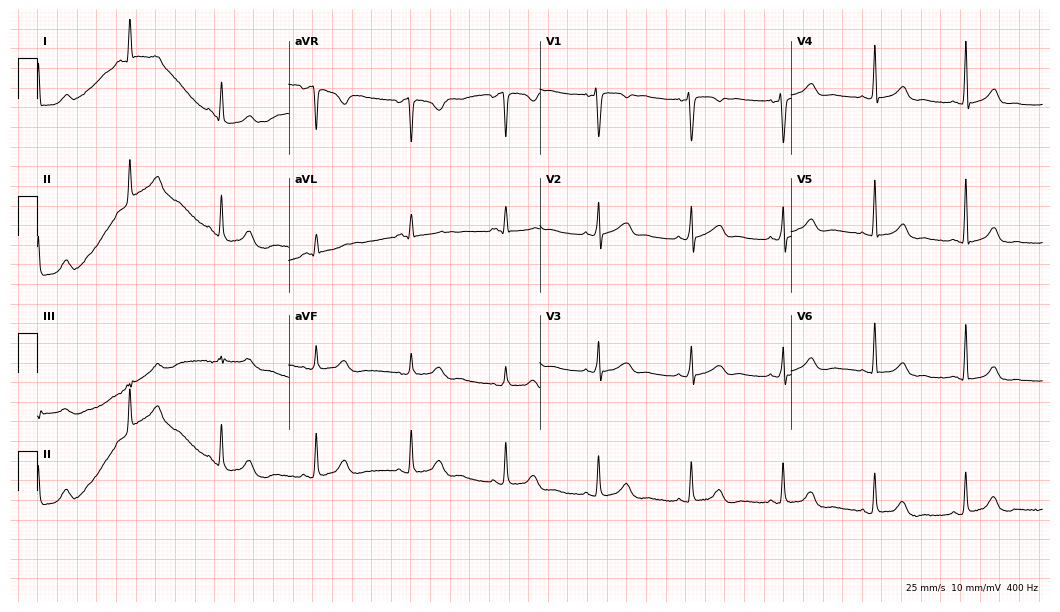
12-lead ECG (10.2-second recording at 400 Hz) from a female, 41 years old. Labelled as a normal ECG.